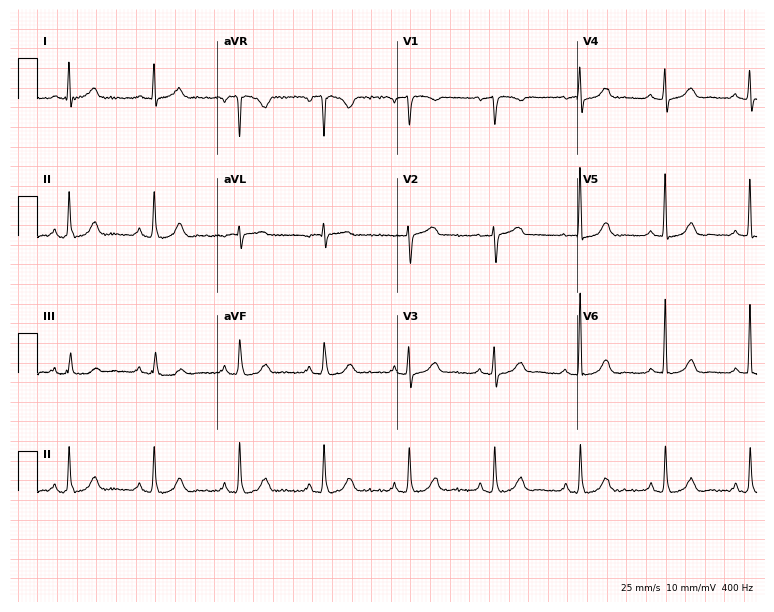
12-lead ECG (7.3-second recording at 400 Hz) from a 60-year-old woman. Labelled as a normal ECG.